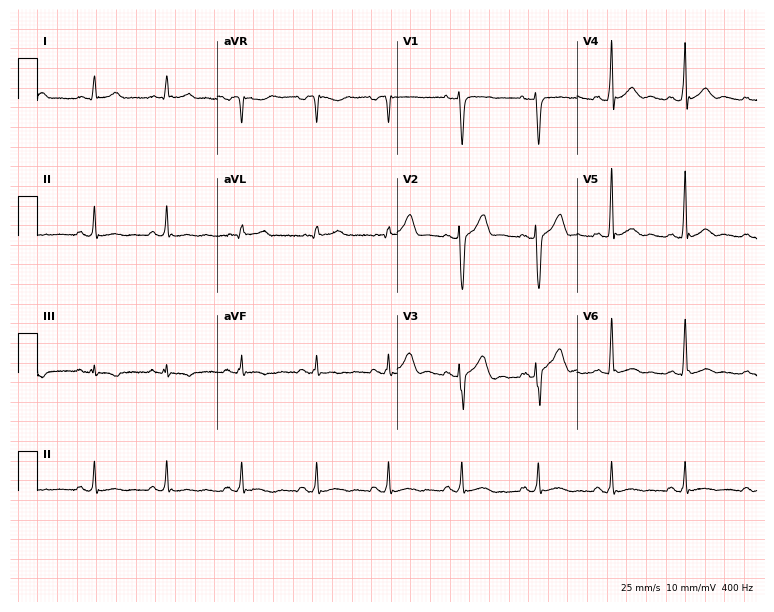
12-lead ECG (7.3-second recording at 400 Hz) from a 49-year-old man. Screened for six findings — first-degree AV block, right bundle branch block, left bundle branch block, sinus bradycardia, atrial fibrillation, sinus tachycardia — none is recorded. Only these six findings were labelled.